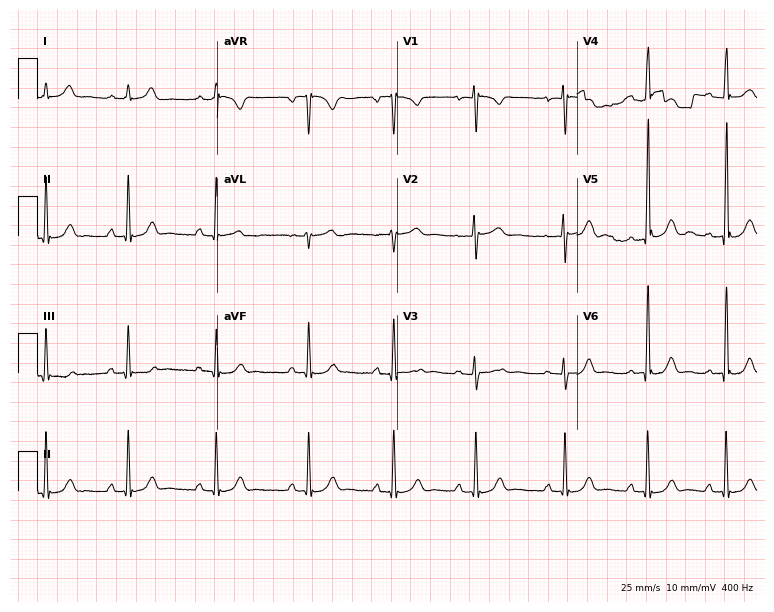
ECG — a 28-year-old female. Labelled as a normal ECG.